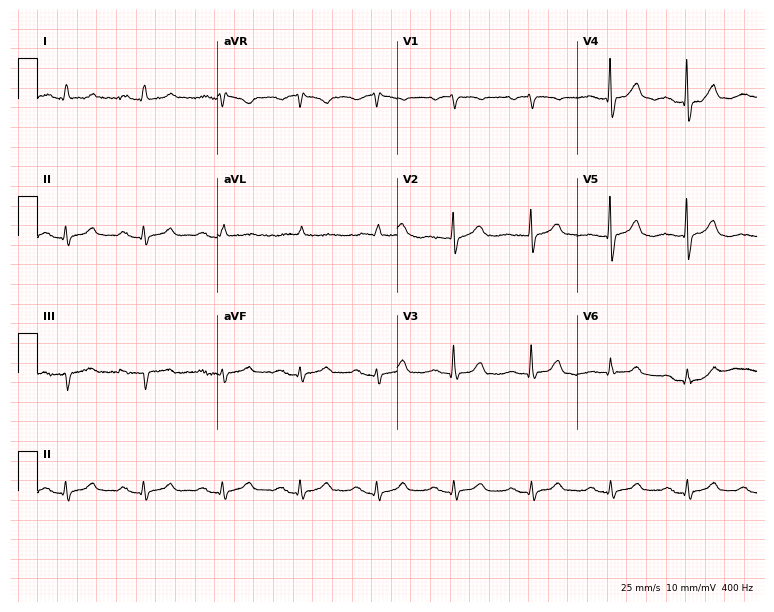
Standard 12-lead ECG recorded from a female, 74 years old. Read as a normal ECG.